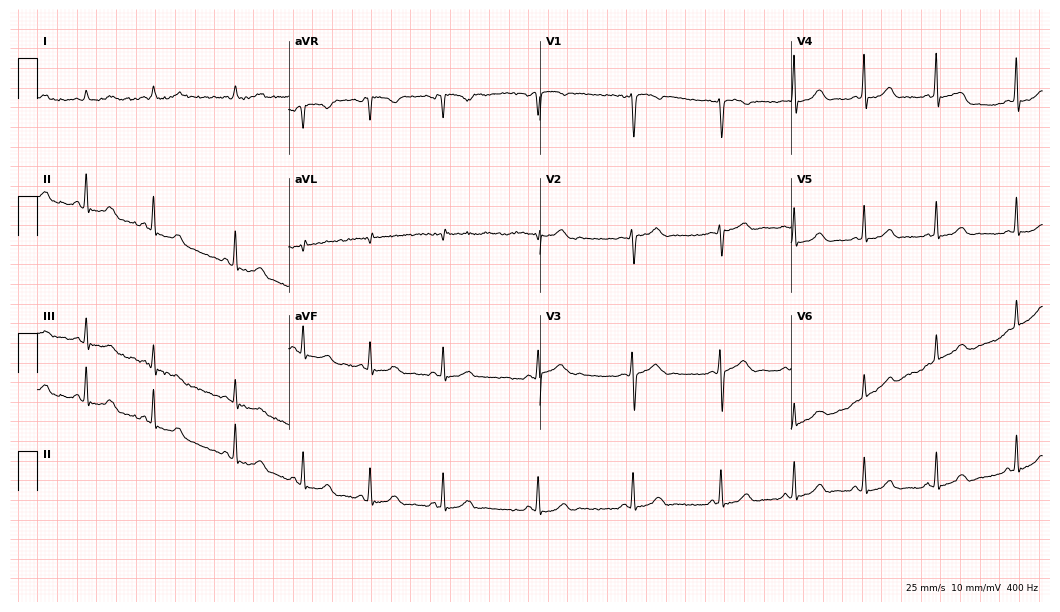
12-lead ECG from a female patient, 30 years old. Screened for six findings — first-degree AV block, right bundle branch block (RBBB), left bundle branch block (LBBB), sinus bradycardia, atrial fibrillation (AF), sinus tachycardia — none is recorded.